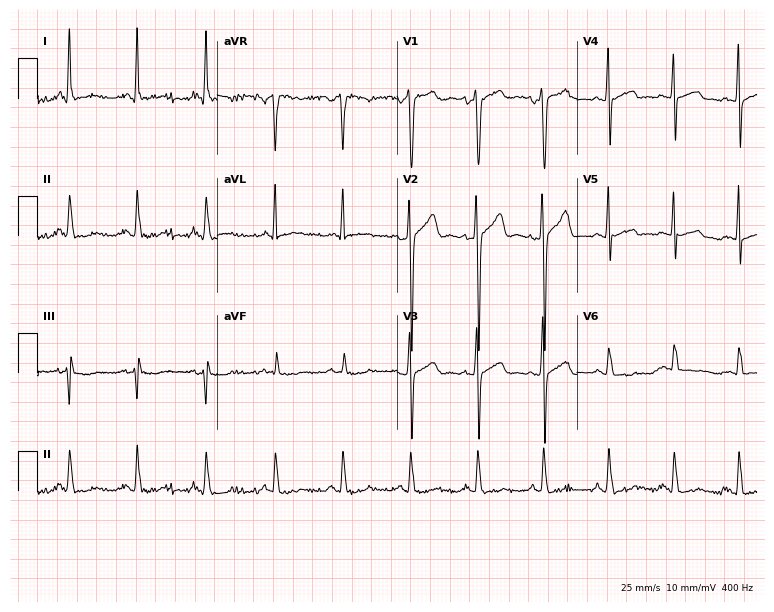
12-lead ECG (7.3-second recording at 400 Hz) from a woman, 25 years old. Screened for six findings — first-degree AV block, right bundle branch block, left bundle branch block, sinus bradycardia, atrial fibrillation, sinus tachycardia — none is recorded.